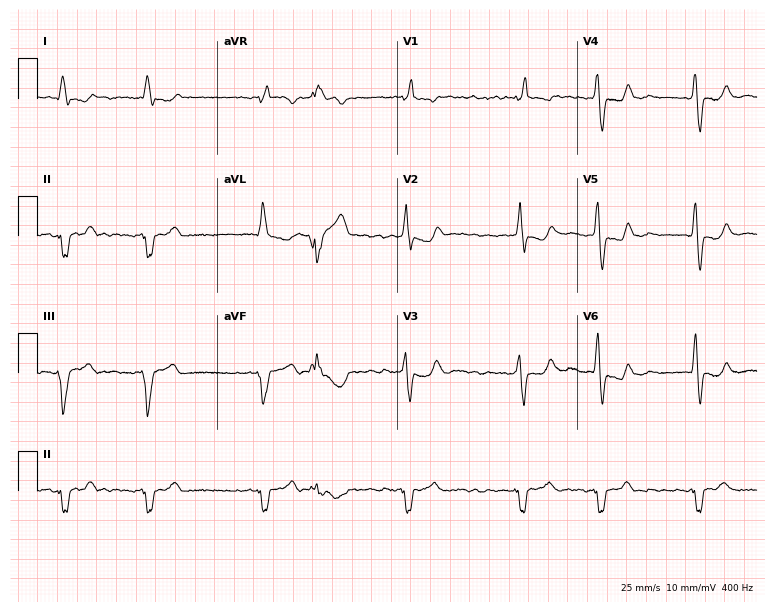
Electrocardiogram (7.3-second recording at 400 Hz), a 59-year-old man. Interpretation includes right bundle branch block, atrial fibrillation.